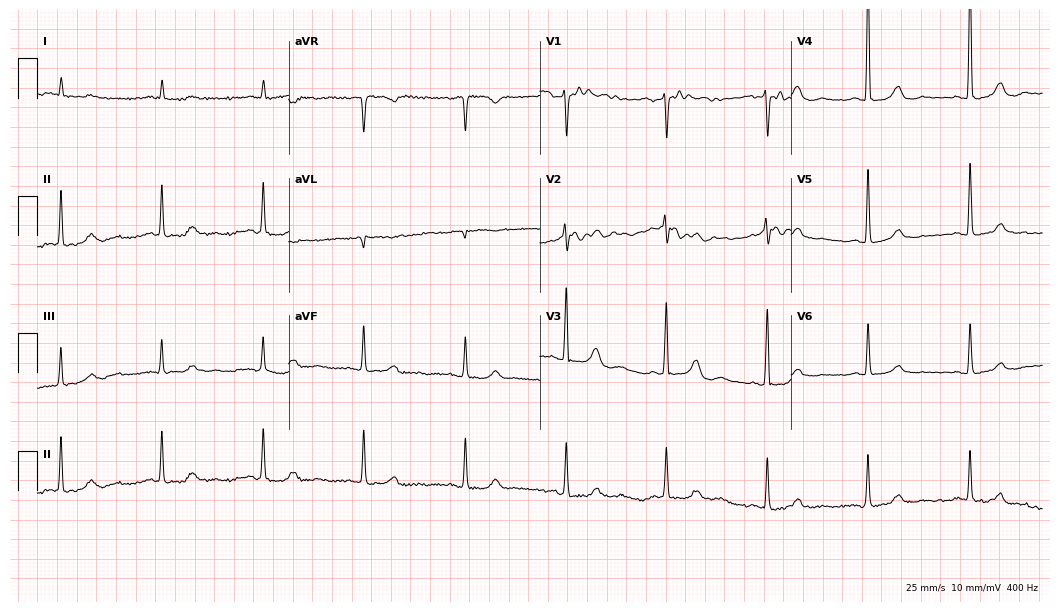
Standard 12-lead ECG recorded from a female, 82 years old (10.2-second recording at 400 Hz). Read as a normal ECG.